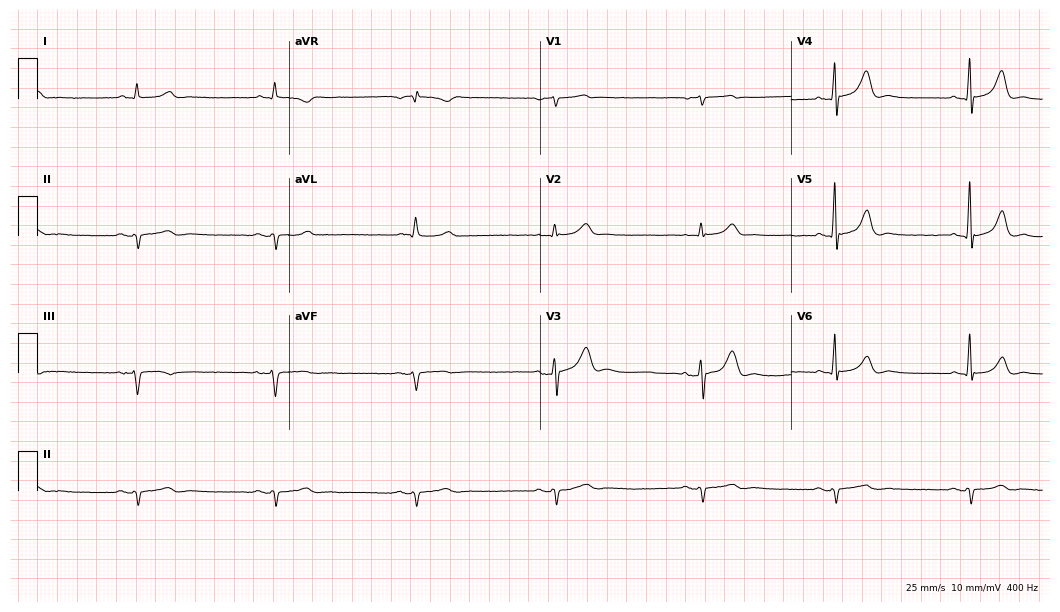
ECG — a 63-year-old man. Findings include sinus bradycardia (a sinus rate of 50 beats per minute or less).